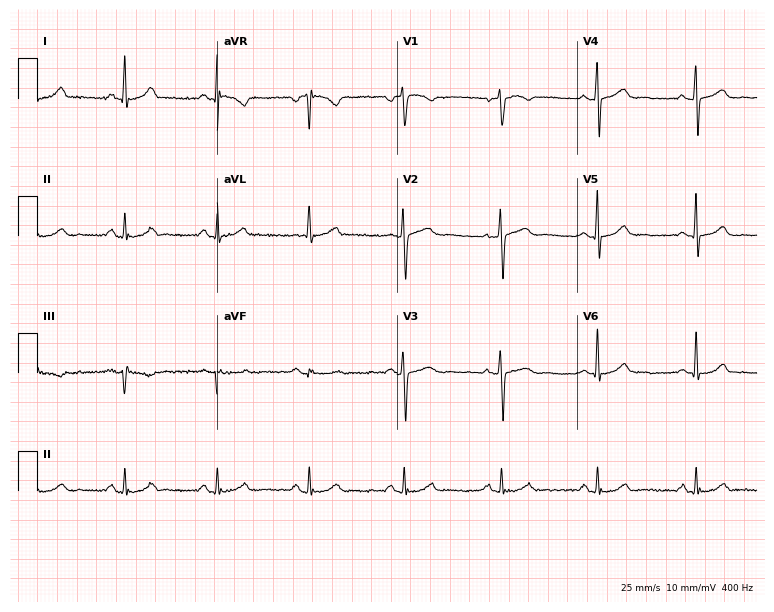
12-lead ECG from a 55-year-old female (7.3-second recording at 400 Hz). Recorded interpretation: within normal limits.